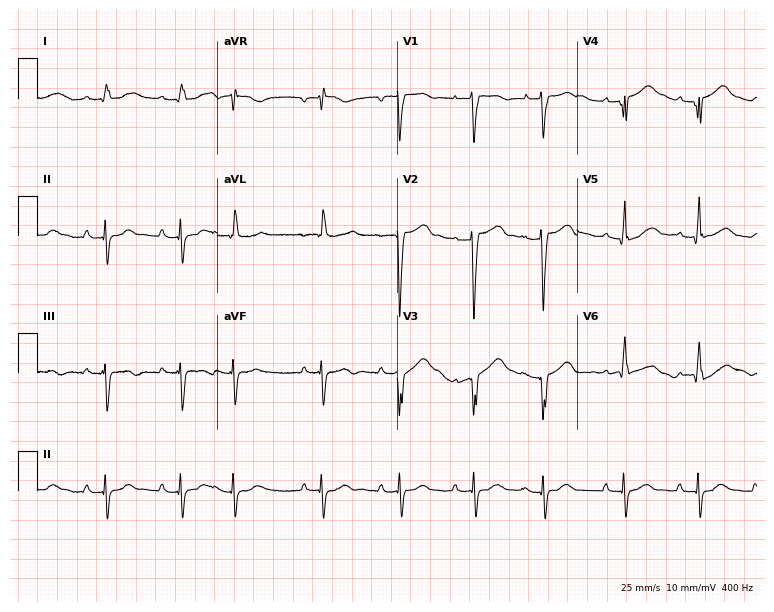
ECG (7.3-second recording at 400 Hz) — a 64-year-old male. Screened for six findings — first-degree AV block, right bundle branch block, left bundle branch block, sinus bradycardia, atrial fibrillation, sinus tachycardia — none is recorded.